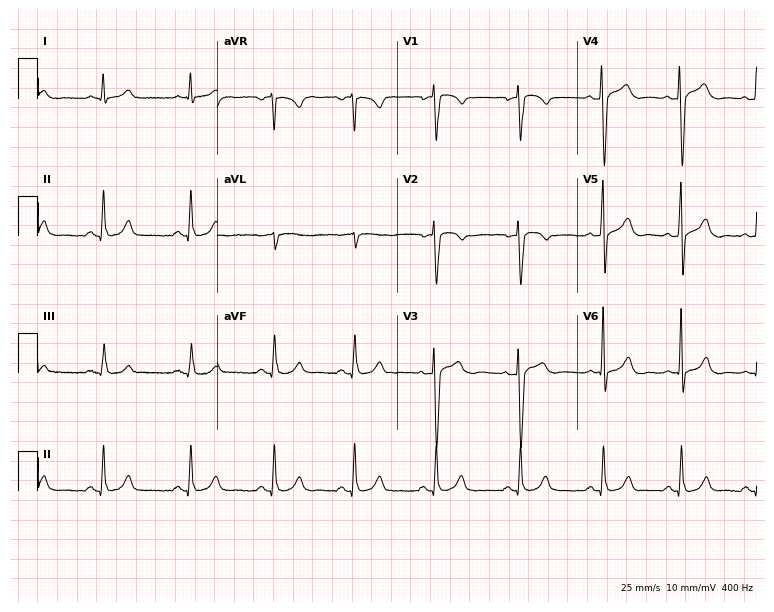
Standard 12-lead ECG recorded from a 41-year-old male patient. None of these six findings is recorded: first-degree AV block, right bundle branch block, left bundle branch block, sinus bradycardia, atrial fibrillation, sinus tachycardia. Other findings, if any, are not listed.